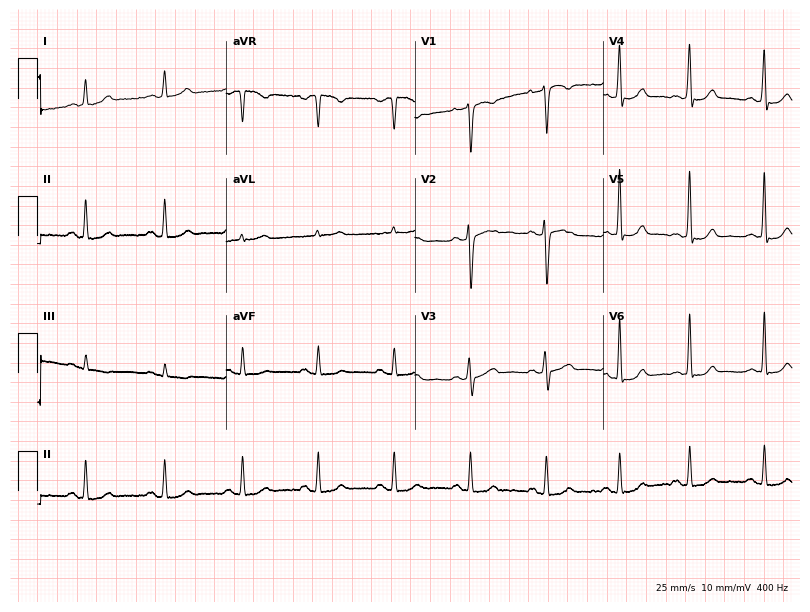
12-lead ECG from a 46-year-old woman. Labelled as a normal ECG.